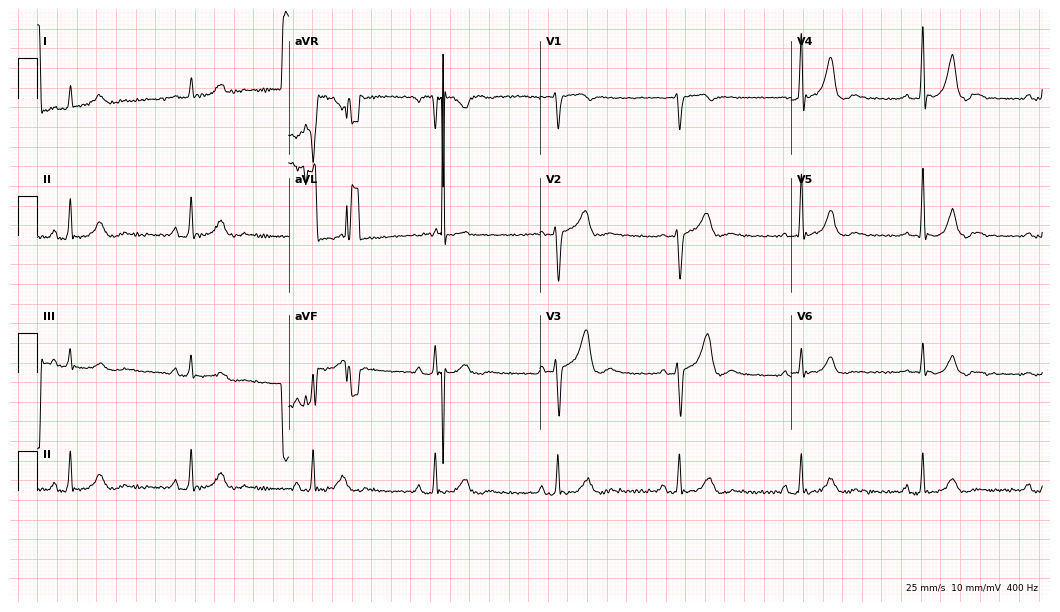
Resting 12-lead electrocardiogram (10.2-second recording at 400 Hz). Patient: a man, 50 years old. Read as a normal ECG.